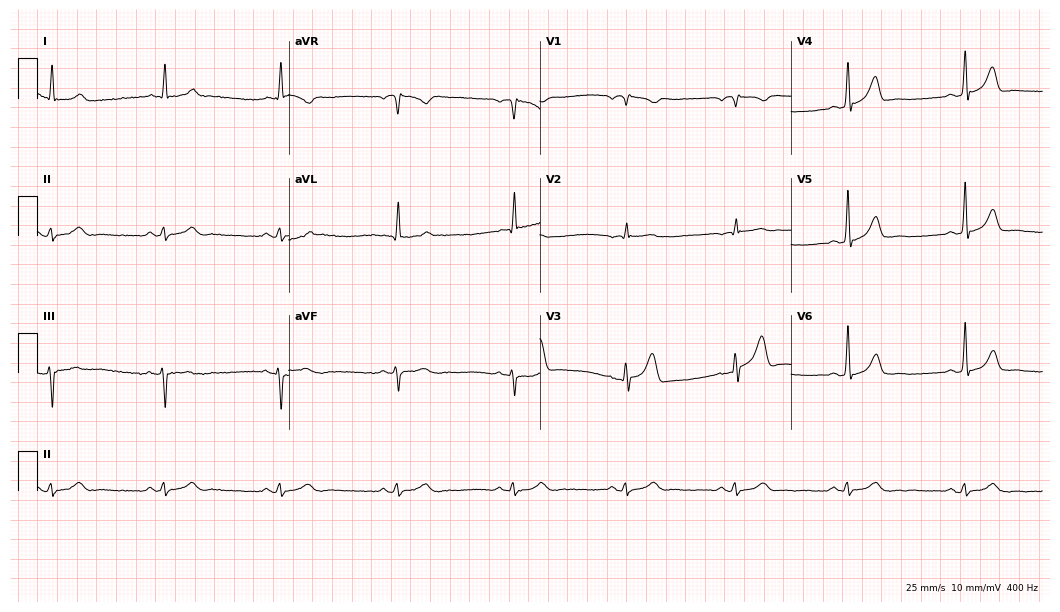
12-lead ECG (10.2-second recording at 400 Hz) from a 50-year-old man. Labelled as a normal ECG.